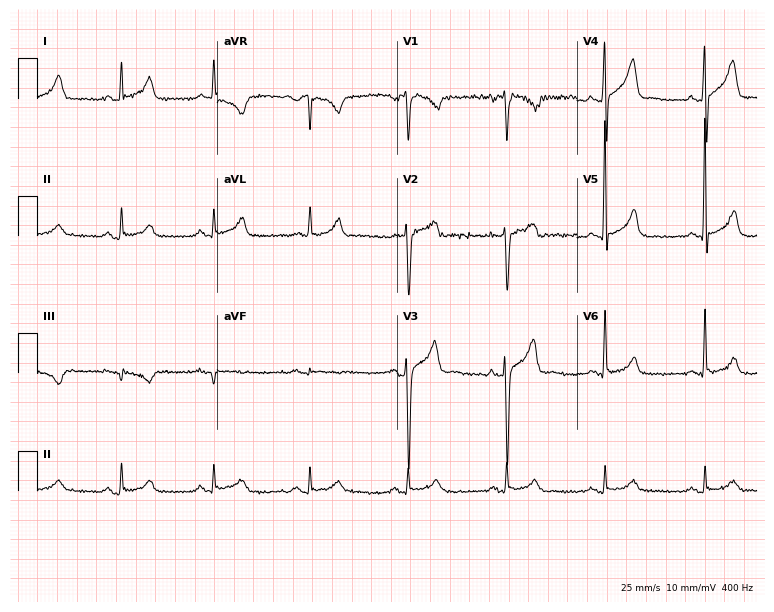
12-lead ECG (7.3-second recording at 400 Hz) from a 56-year-old man. Screened for six findings — first-degree AV block, right bundle branch block, left bundle branch block, sinus bradycardia, atrial fibrillation, sinus tachycardia — none is recorded. Other findings, if any, are not listed.